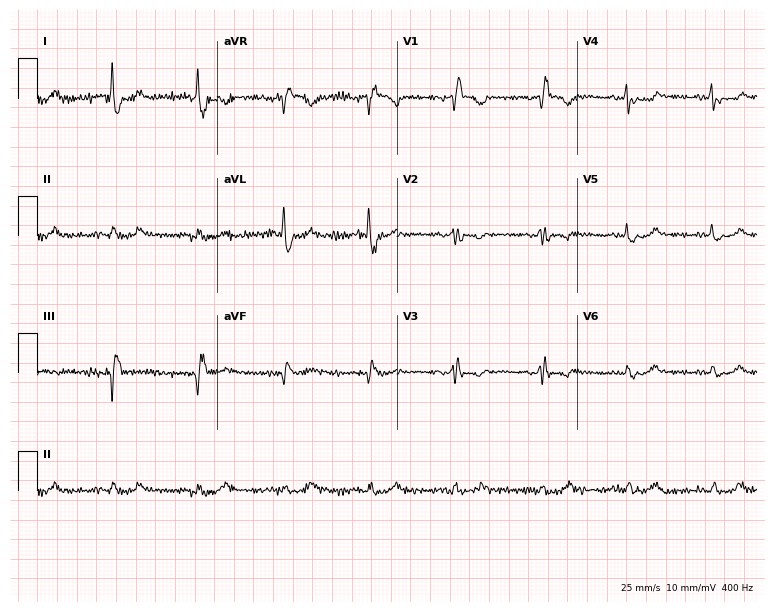
12-lead ECG (7.3-second recording at 400 Hz) from an 85-year-old woman. Screened for six findings — first-degree AV block, right bundle branch block, left bundle branch block, sinus bradycardia, atrial fibrillation, sinus tachycardia — none is recorded.